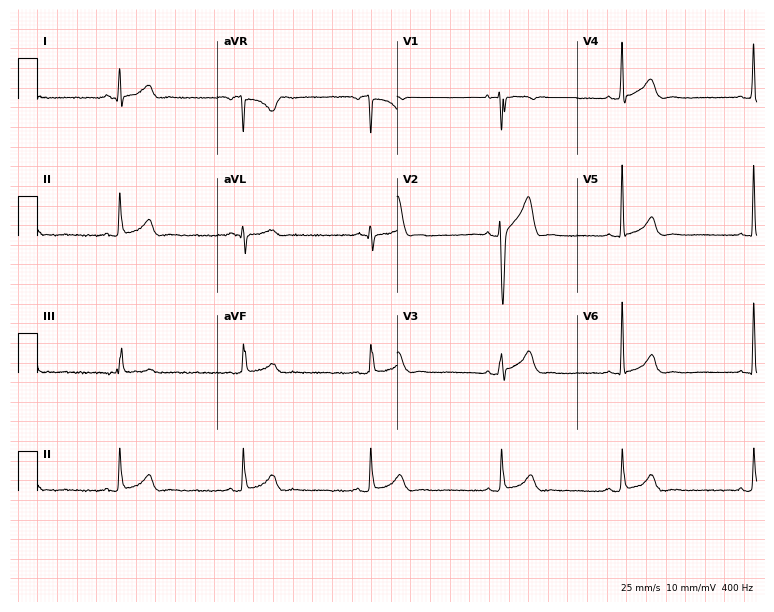
Resting 12-lead electrocardiogram (7.3-second recording at 400 Hz). Patient: a 33-year-old man. The tracing shows sinus bradycardia (a sinus rate of 50 beats per minute or less).